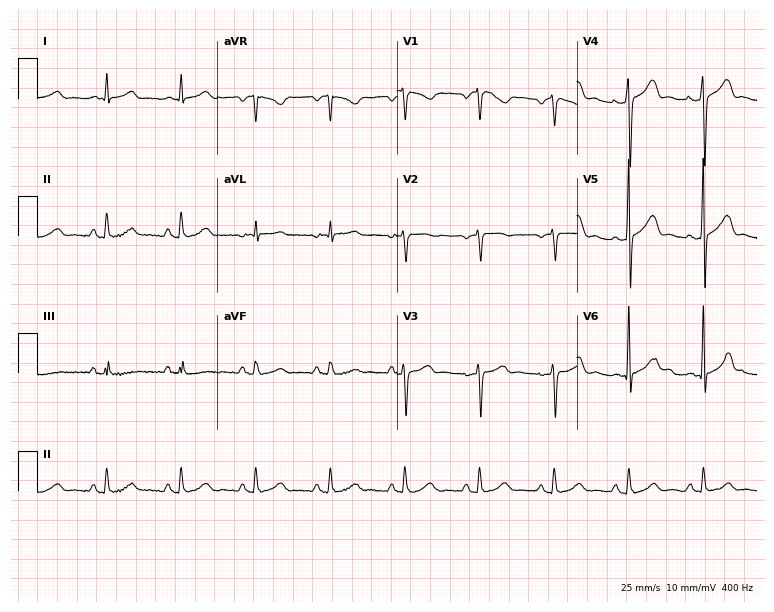
12-lead ECG from a 66-year-old male (7.3-second recording at 400 Hz). Recorded interpretation: within normal limits.